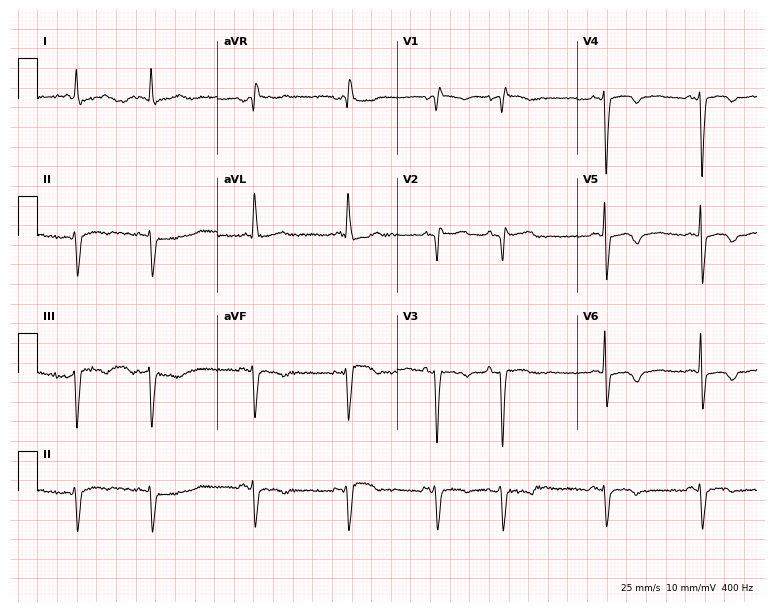
Standard 12-lead ECG recorded from an 85-year-old female (7.3-second recording at 400 Hz). None of these six findings is recorded: first-degree AV block, right bundle branch block, left bundle branch block, sinus bradycardia, atrial fibrillation, sinus tachycardia. Only these six findings were labelled.